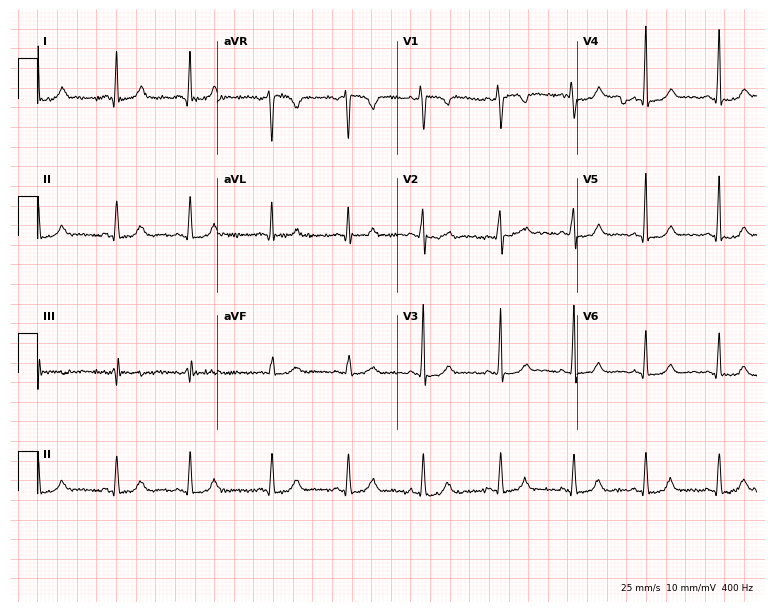
Resting 12-lead electrocardiogram (7.3-second recording at 400 Hz). Patient: a woman, 45 years old. None of these six findings is recorded: first-degree AV block, right bundle branch block, left bundle branch block, sinus bradycardia, atrial fibrillation, sinus tachycardia. Findings outside these six are not listed.